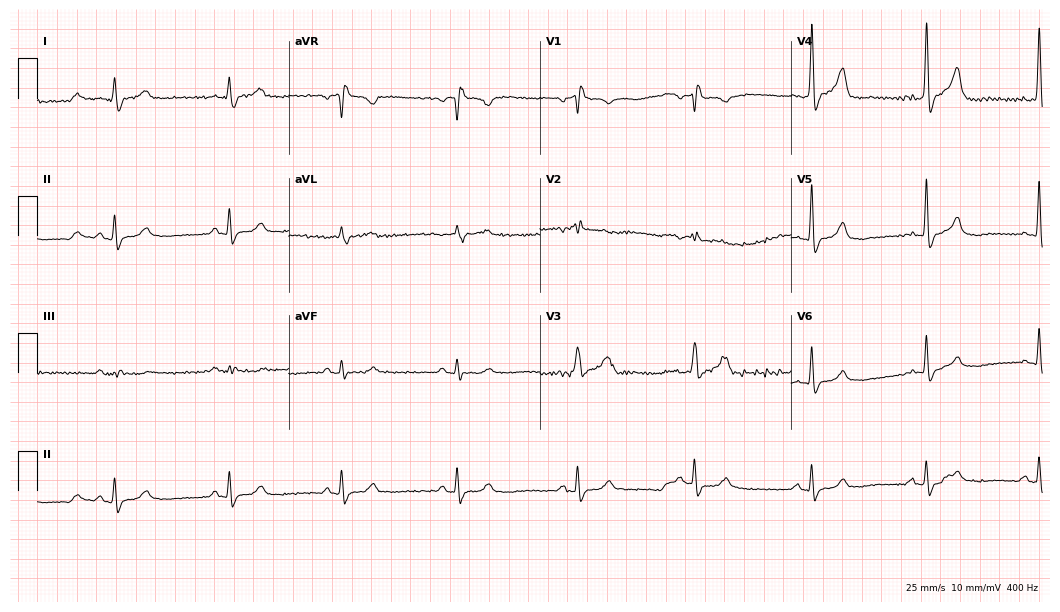
Standard 12-lead ECG recorded from a man, 64 years old (10.2-second recording at 400 Hz). The tracing shows right bundle branch block, sinus bradycardia (a sinus rate of 50 beats per minute or less).